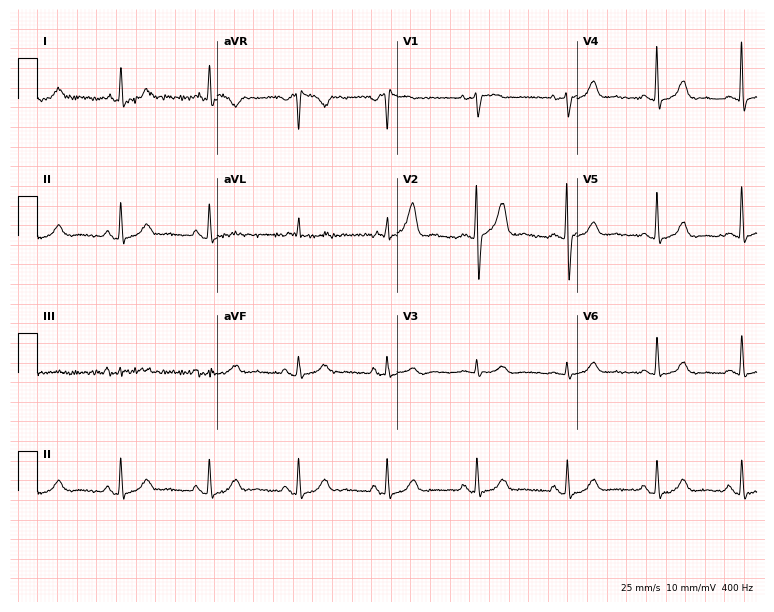
12-lead ECG from a female, 56 years old. Recorded interpretation: within normal limits.